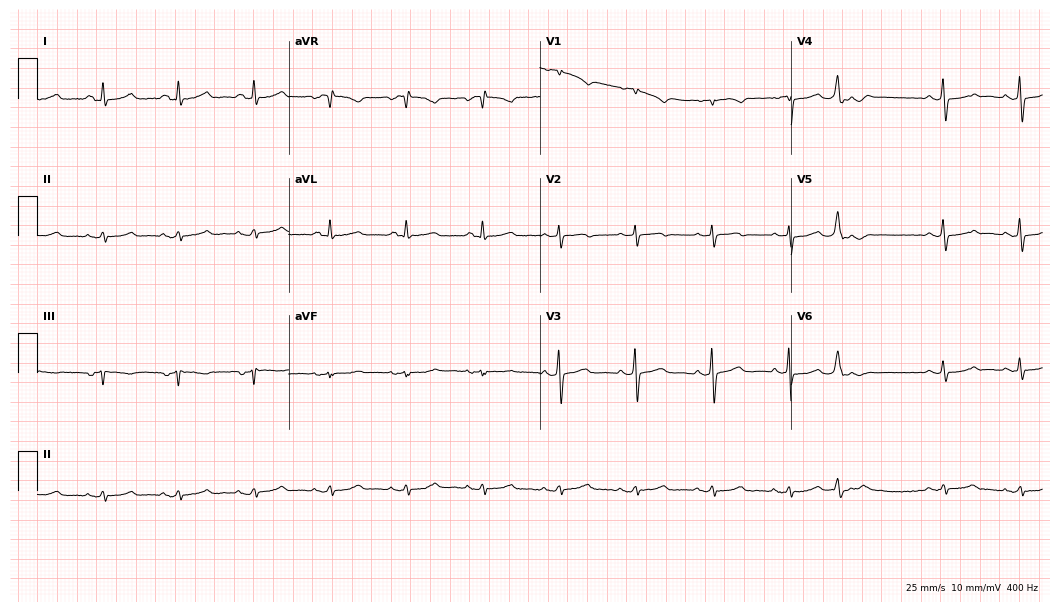
Standard 12-lead ECG recorded from a 72-year-old female (10.2-second recording at 400 Hz). Read as a normal ECG.